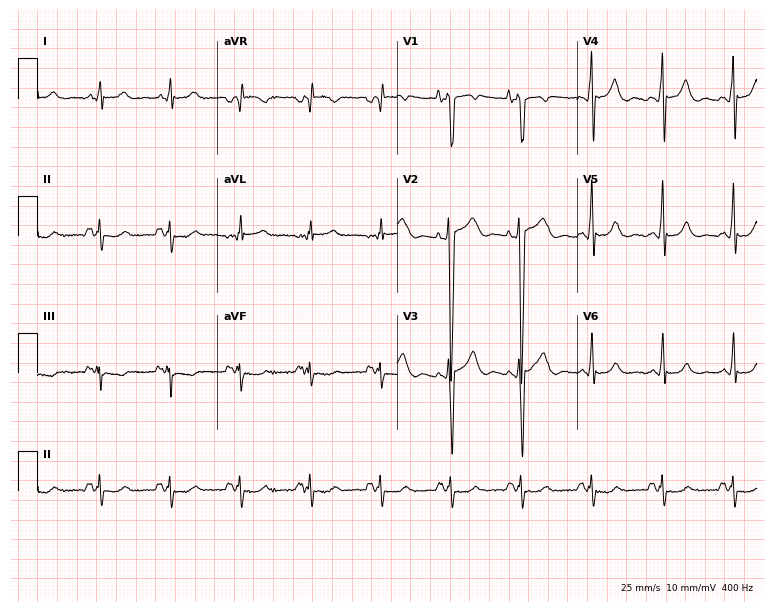
12-lead ECG from a 68-year-old man. No first-degree AV block, right bundle branch block, left bundle branch block, sinus bradycardia, atrial fibrillation or sinus tachycardia recorded for this tracing. Other findings, if any, are not listed.